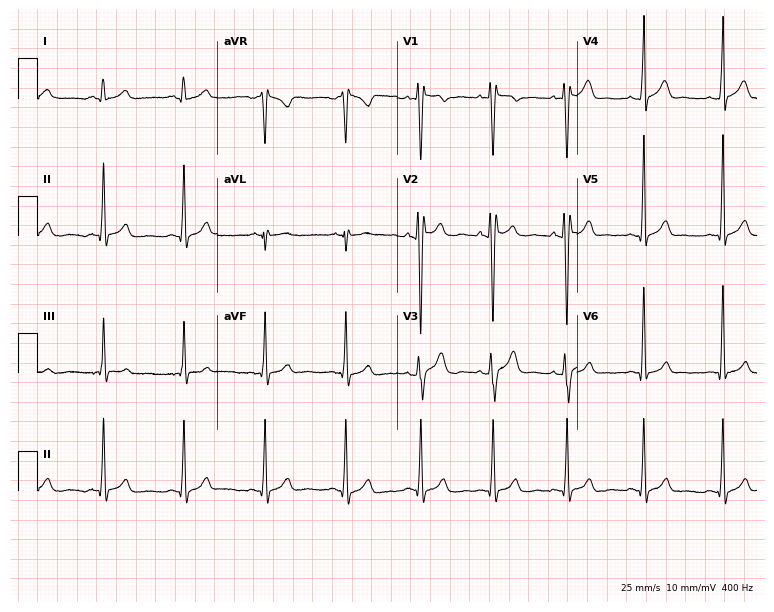
12-lead ECG from a 21-year-old male (7.3-second recording at 400 Hz). Recorded interpretation: within normal limits.